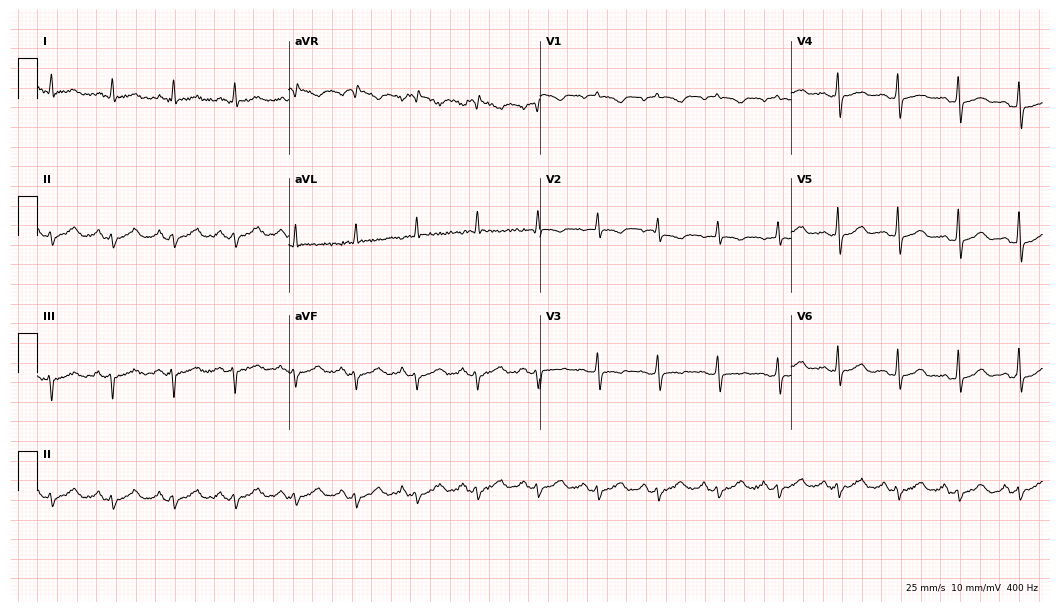
12-lead ECG from a 75-year-old female. Labelled as a normal ECG.